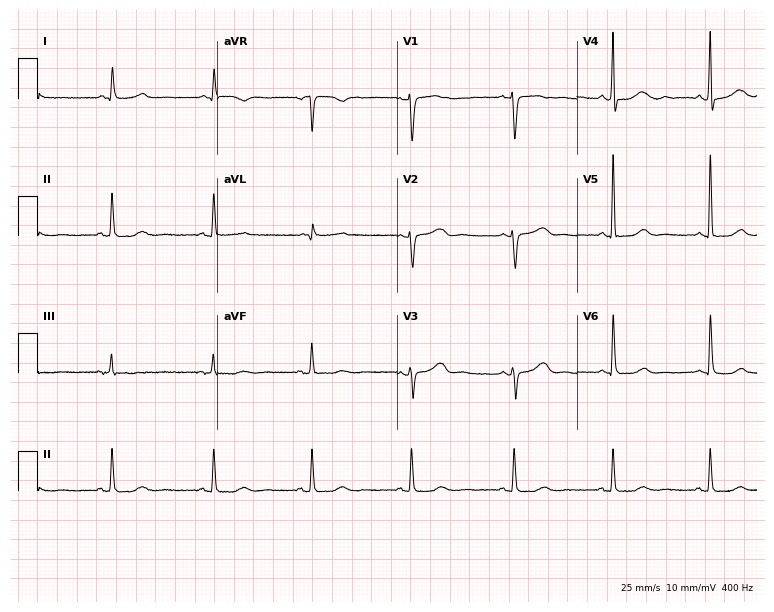
12-lead ECG from a 57-year-old female (7.3-second recording at 400 Hz). Recorded interpretation: within normal limits.